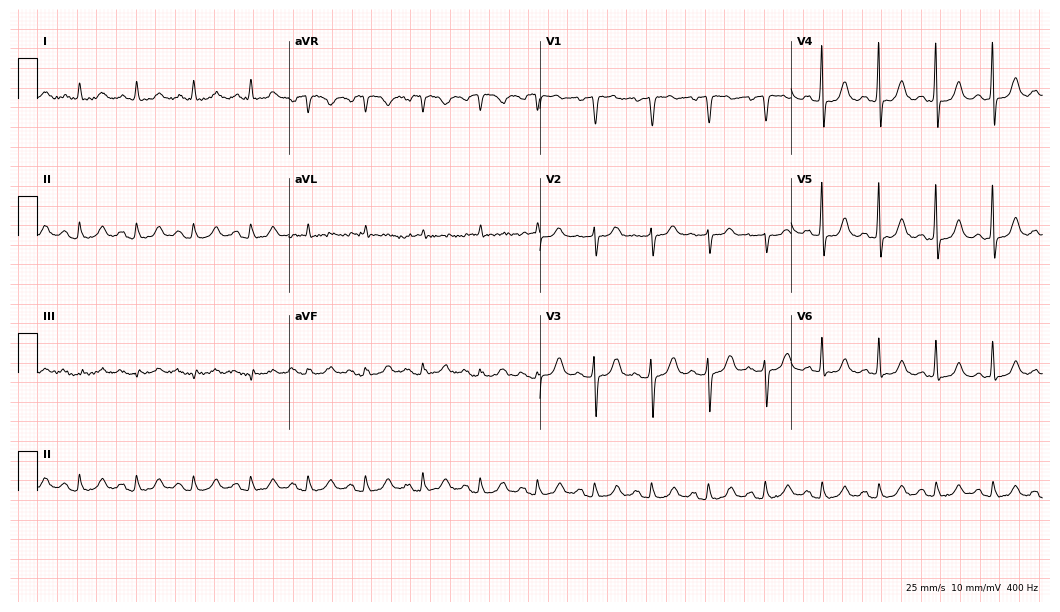
12-lead ECG (10.2-second recording at 400 Hz) from a 71-year-old woman. Findings include sinus tachycardia (a sinus rate of 100 beats per minute or more).